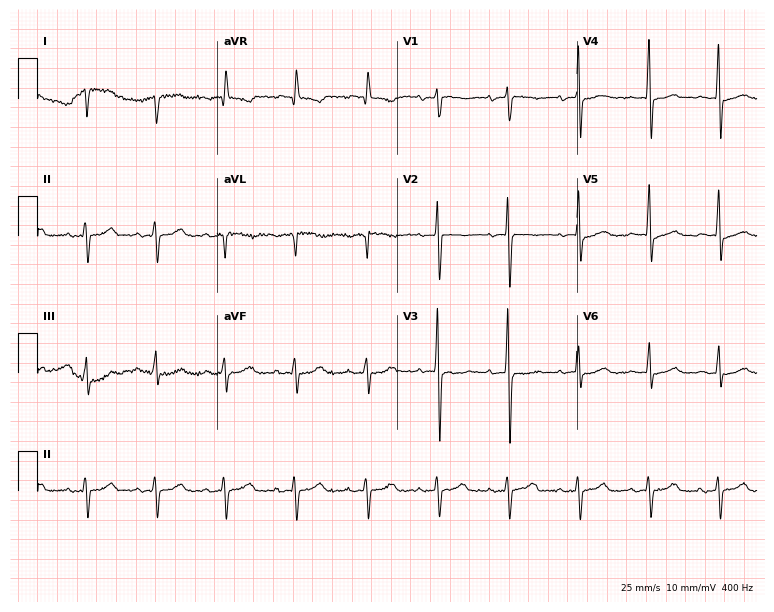
Resting 12-lead electrocardiogram (7.3-second recording at 400 Hz). Patient: an 85-year-old female. None of these six findings is recorded: first-degree AV block, right bundle branch block, left bundle branch block, sinus bradycardia, atrial fibrillation, sinus tachycardia.